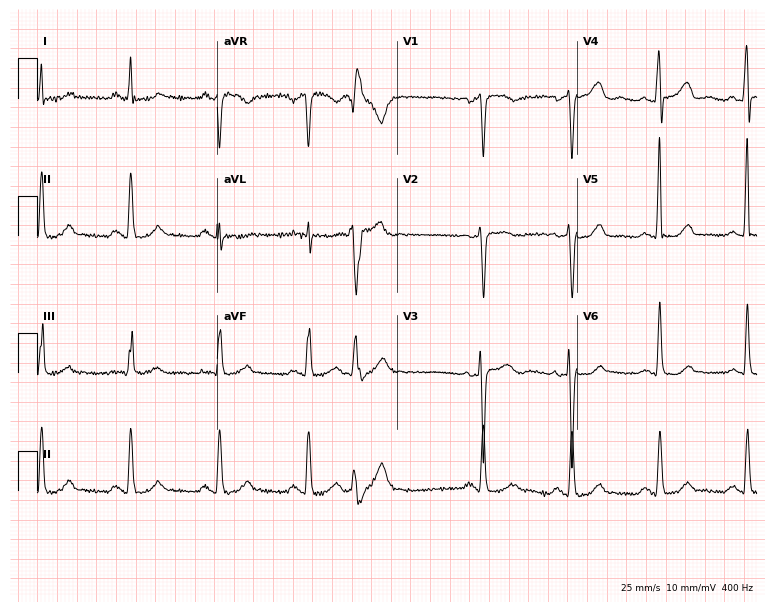
12-lead ECG from a female patient, 55 years old (7.3-second recording at 400 Hz). No first-degree AV block, right bundle branch block (RBBB), left bundle branch block (LBBB), sinus bradycardia, atrial fibrillation (AF) or sinus tachycardia recorded for this tracing.